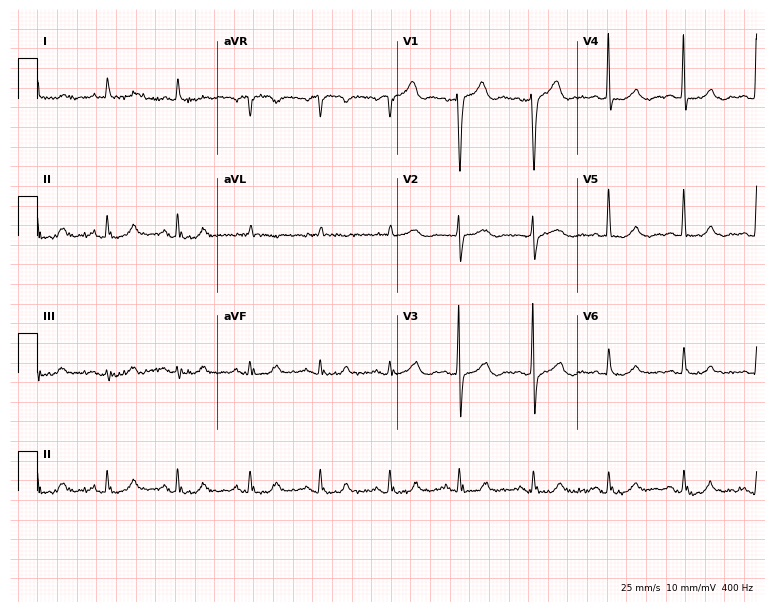
Resting 12-lead electrocardiogram. Patient: a female, 80 years old. Read as a normal ECG.